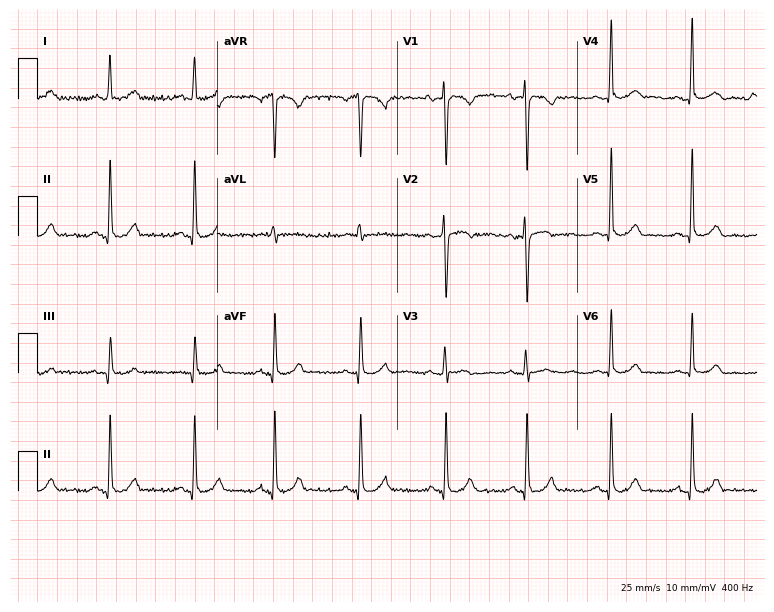
ECG — a female, 25 years old. Labelled as a normal ECG.